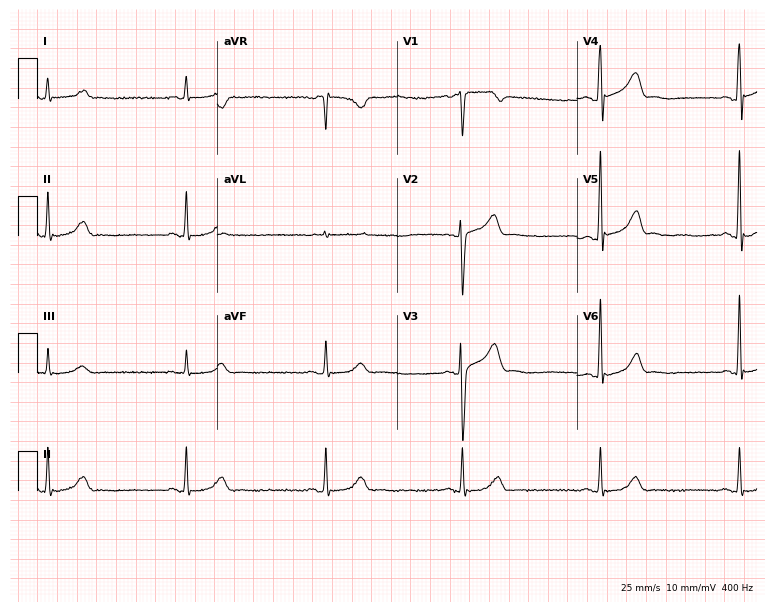
12-lead ECG from a 59-year-old male patient (7.3-second recording at 400 Hz). Shows sinus bradycardia (a sinus rate of 50 beats per minute or less).